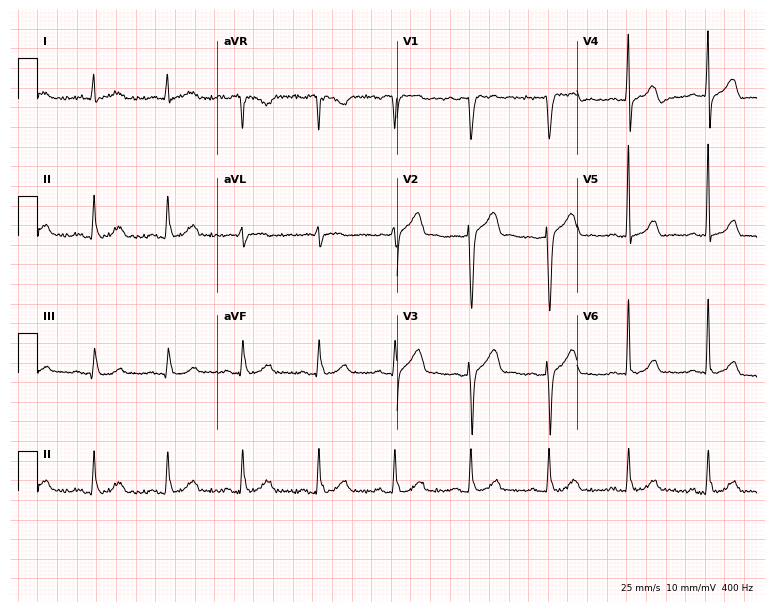
ECG (7.3-second recording at 400 Hz) — a man, 50 years old. Screened for six findings — first-degree AV block, right bundle branch block, left bundle branch block, sinus bradycardia, atrial fibrillation, sinus tachycardia — none is recorded.